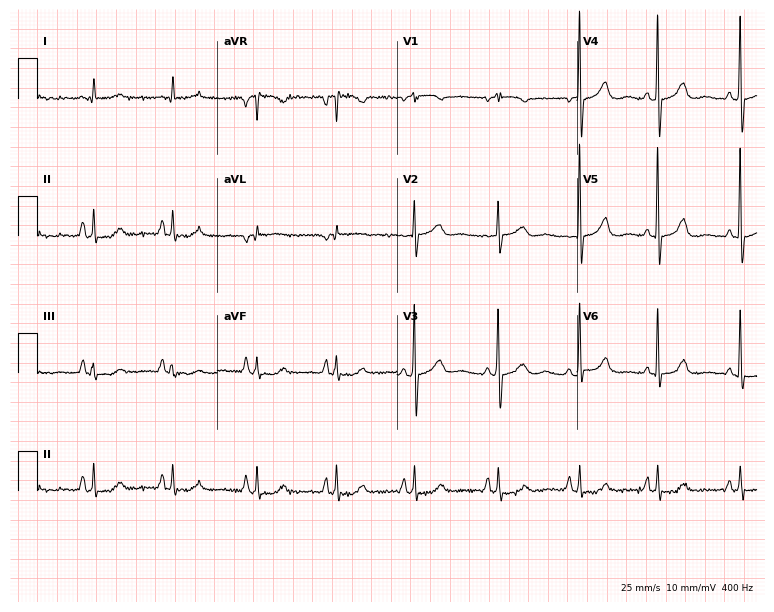
Electrocardiogram (7.3-second recording at 400 Hz), a 79-year-old female. Overall reading on record: normal ECG.